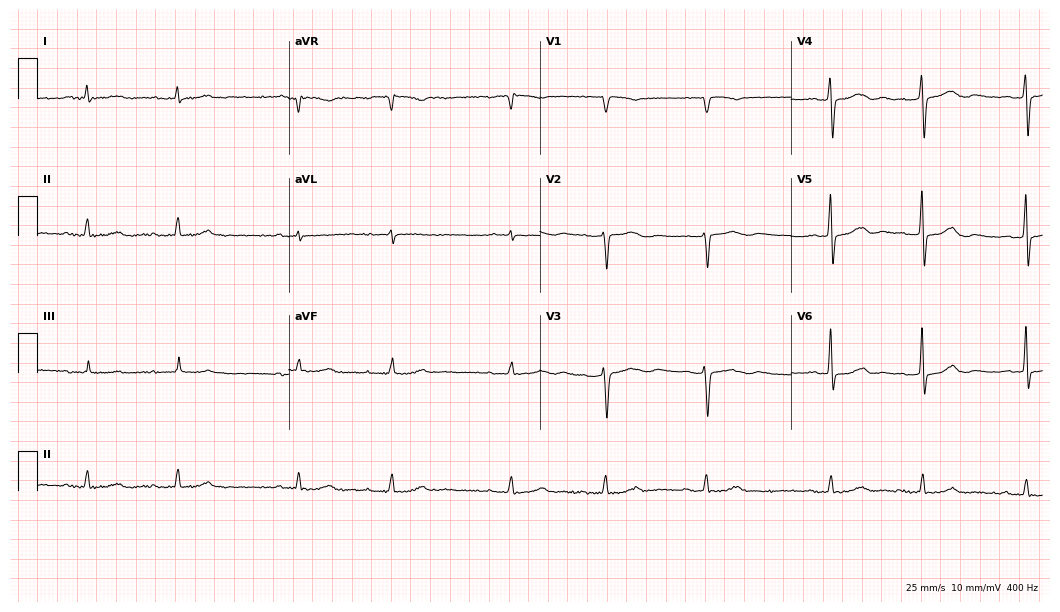
12-lead ECG from a female patient, 61 years old (10.2-second recording at 400 Hz). Shows first-degree AV block.